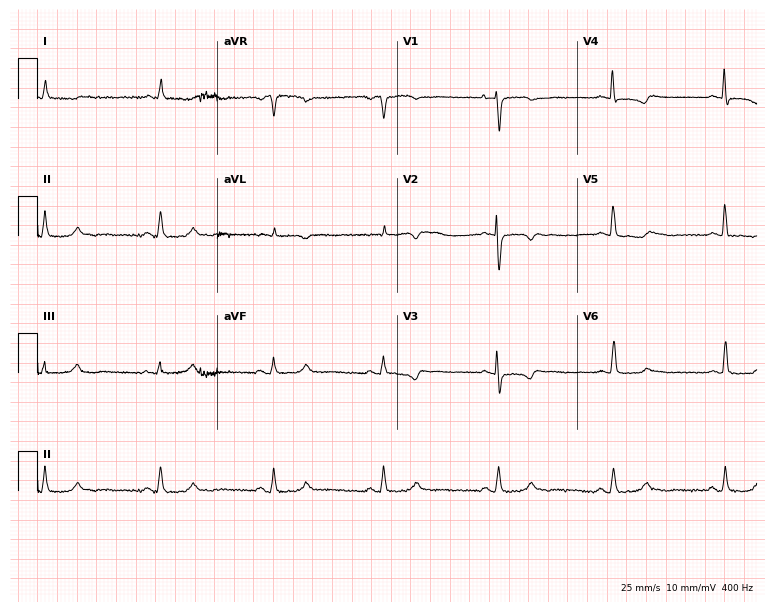
12-lead ECG from a 69-year-old female patient. No first-degree AV block, right bundle branch block, left bundle branch block, sinus bradycardia, atrial fibrillation or sinus tachycardia recorded for this tracing. Findings outside these six are not listed.